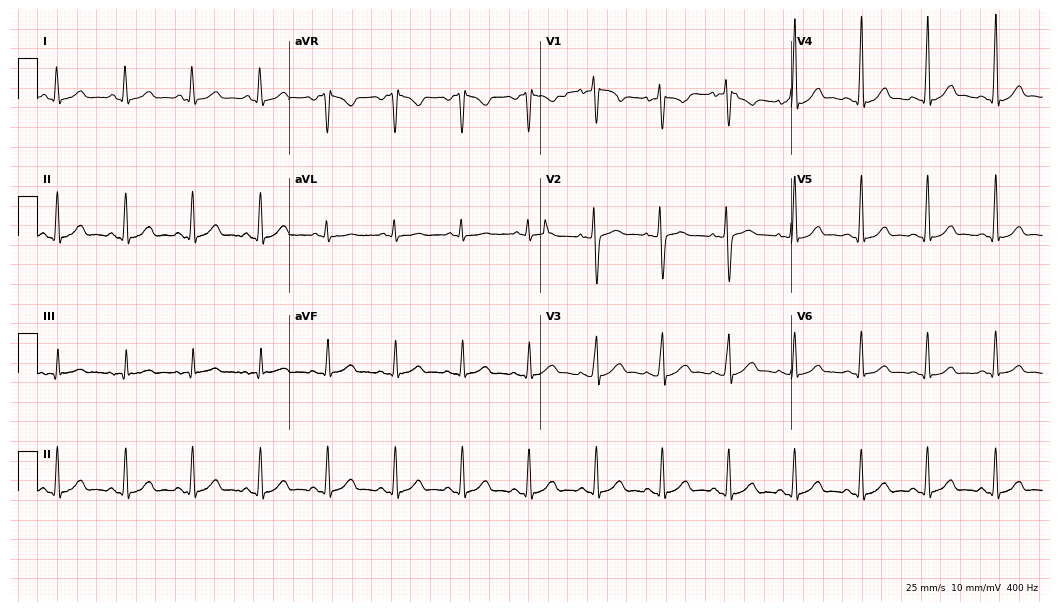
12-lead ECG from a 31-year-old woman. Recorded interpretation: within normal limits.